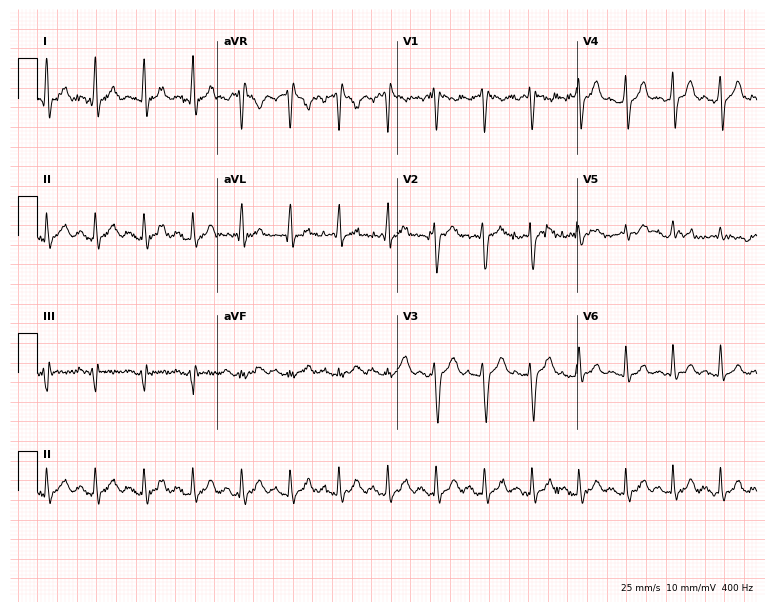
ECG — a male patient, 24 years old. Findings include sinus tachycardia (a sinus rate of 100 beats per minute or more).